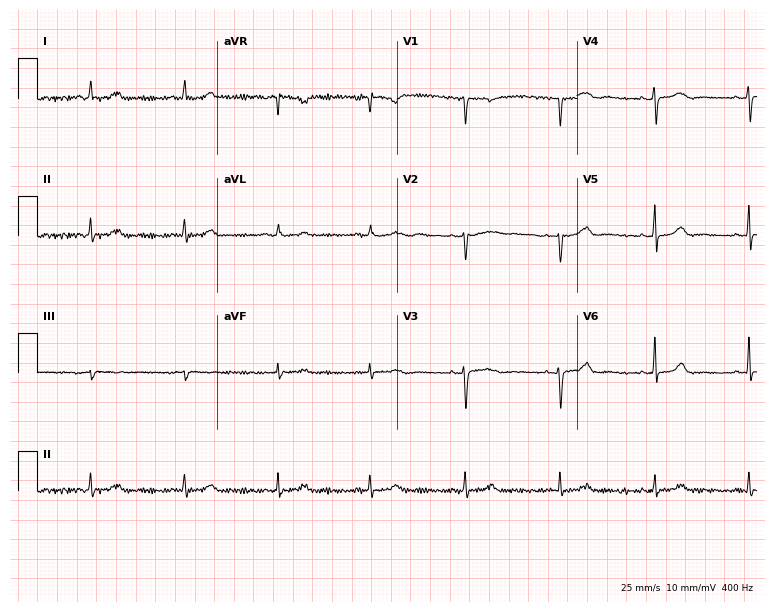
Electrocardiogram, a female patient, 46 years old. Overall reading on record: normal ECG.